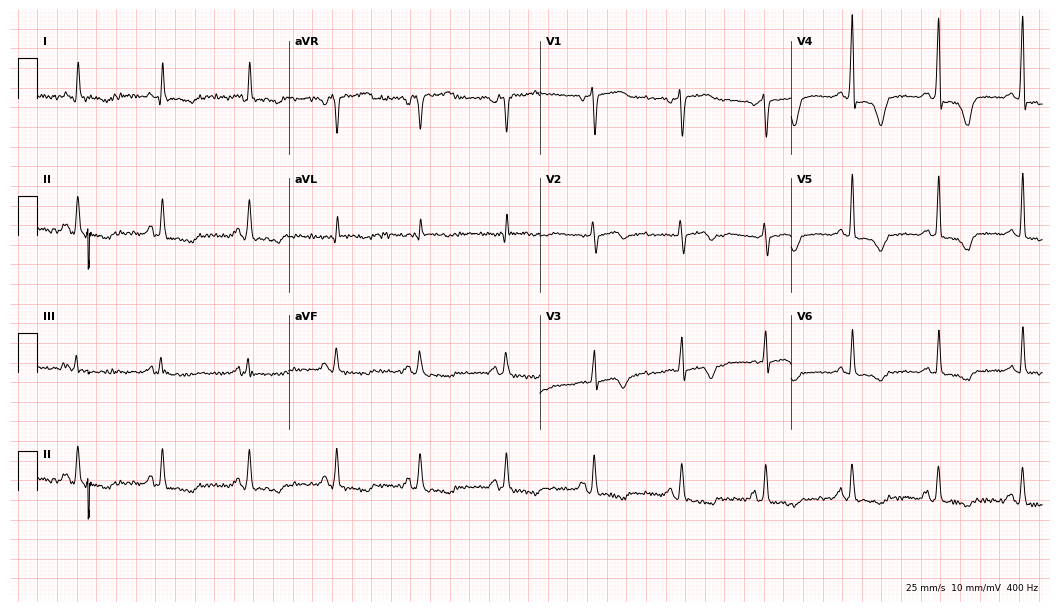
Resting 12-lead electrocardiogram. Patient: a 76-year-old female. None of these six findings is recorded: first-degree AV block, right bundle branch block, left bundle branch block, sinus bradycardia, atrial fibrillation, sinus tachycardia.